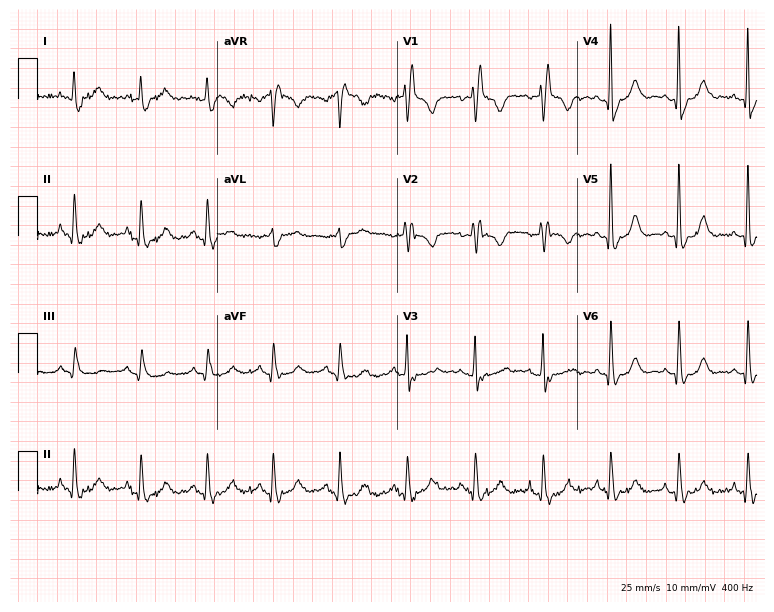
Standard 12-lead ECG recorded from a 62-year-old woman (7.3-second recording at 400 Hz). The tracing shows right bundle branch block.